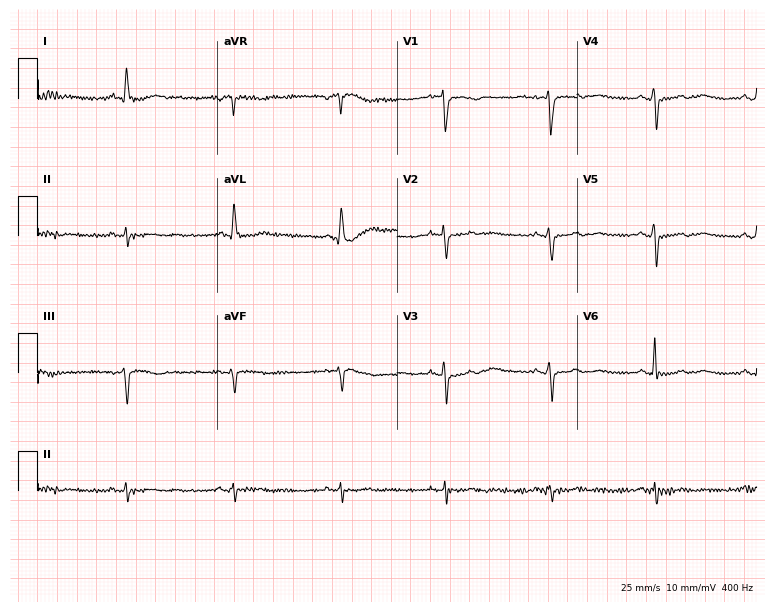
12-lead ECG (7.3-second recording at 400 Hz) from a 69-year-old female patient. Screened for six findings — first-degree AV block, right bundle branch block, left bundle branch block, sinus bradycardia, atrial fibrillation, sinus tachycardia — none is recorded. Only these six findings were labelled.